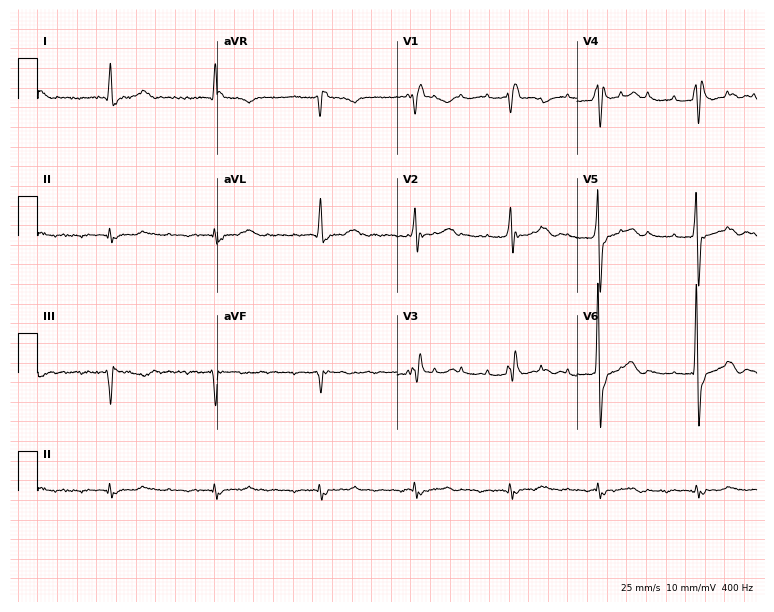
Standard 12-lead ECG recorded from an 80-year-old man. The tracing shows right bundle branch block.